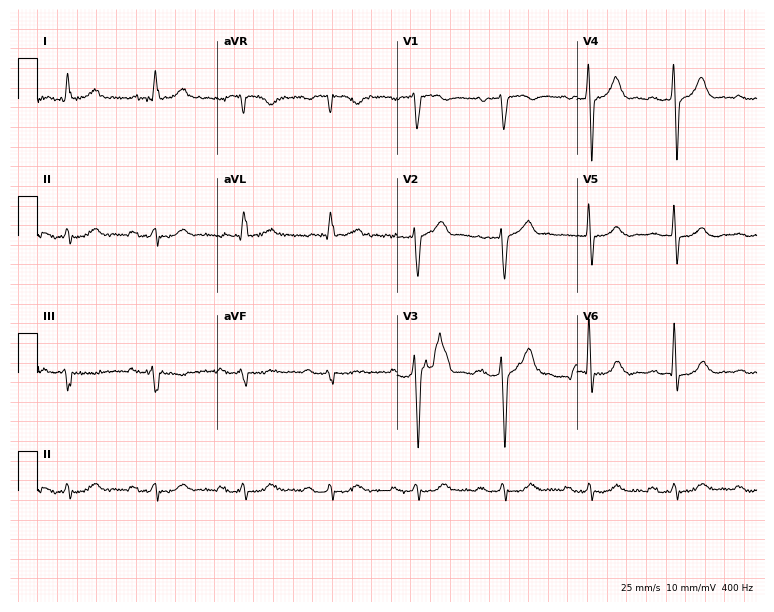
12-lead ECG from a 74-year-old man (7.3-second recording at 400 Hz). Recorded interpretation: within normal limits.